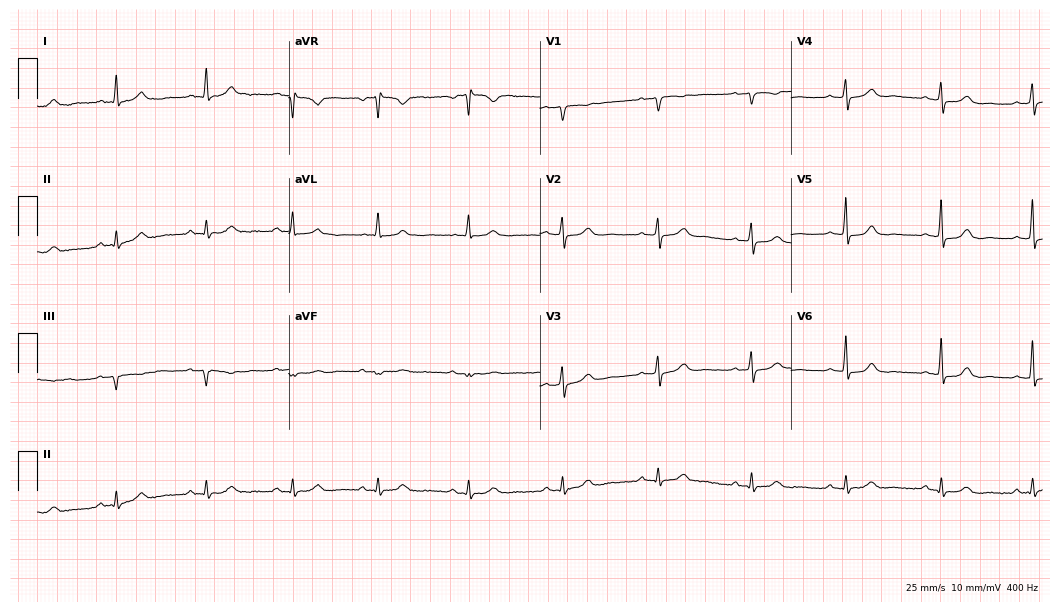
Electrocardiogram, a 59-year-old female. Of the six screened findings (first-degree AV block, right bundle branch block, left bundle branch block, sinus bradycardia, atrial fibrillation, sinus tachycardia), none is recorded. Other findings, if any, are not listed.